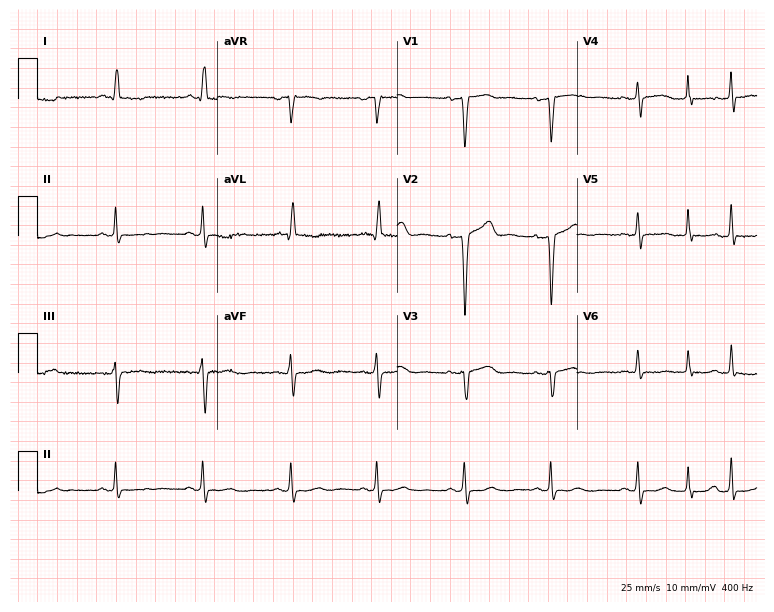
12-lead ECG from a woman, 32 years old (7.3-second recording at 400 Hz). No first-degree AV block, right bundle branch block, left bundle branch block, sinus bradycardia, atrial fibrillation or sinus tachycardia recorded for this tracing.